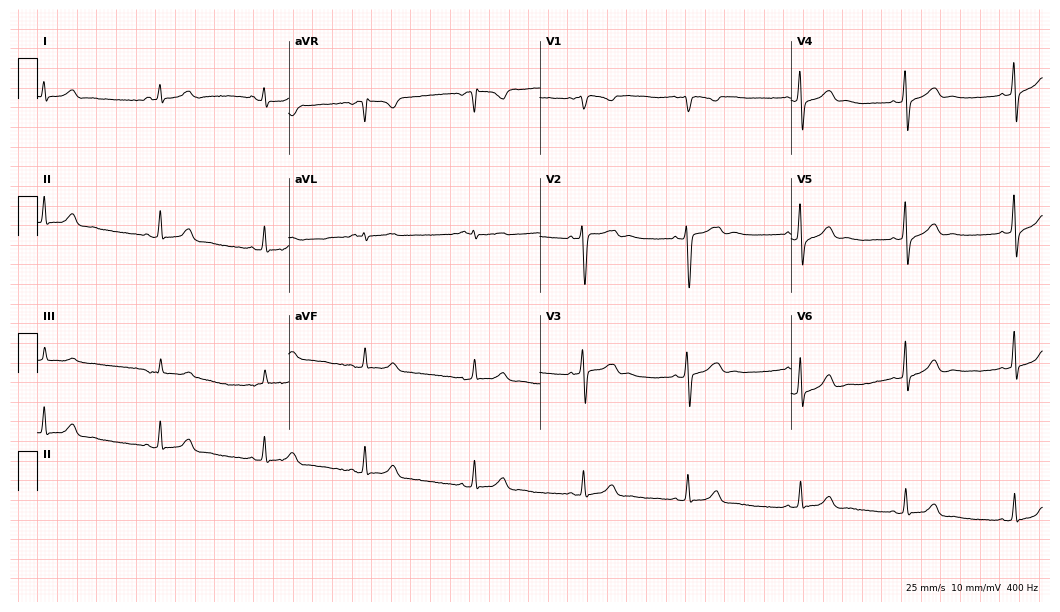
12-lead ECG from a female patient, 30 years old. Recorded interpretation: within normal limits.